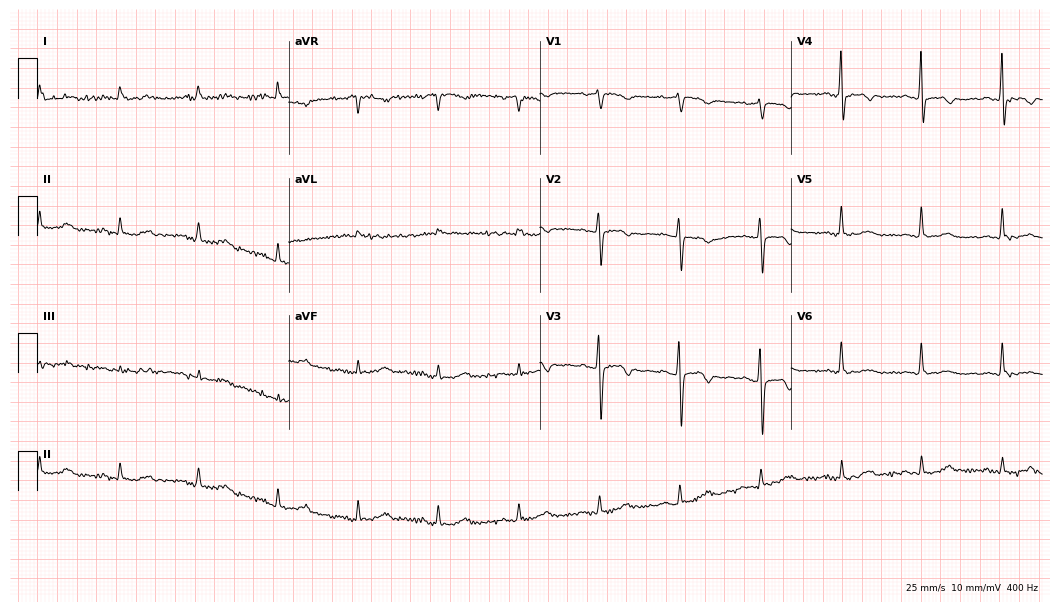
12-lead ECG from a female patient, 79 years old. No first-degree AV block, right bundle branch block, left bundle branch block, sinus bradycardia, atrial fibrillation or sinus tachycardia recorded for this tracing.